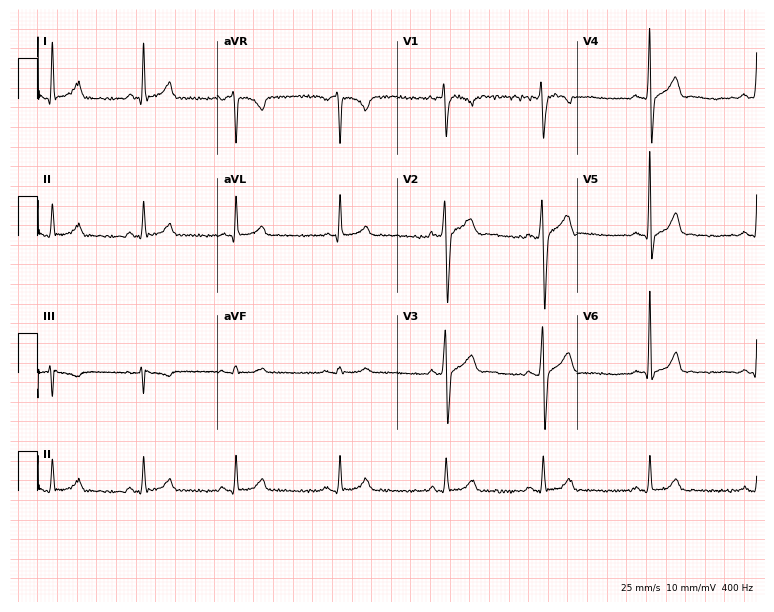
Resting 12-lead electrocardiogram. Patient: a 32-year-old male. Read as a normal ECG.